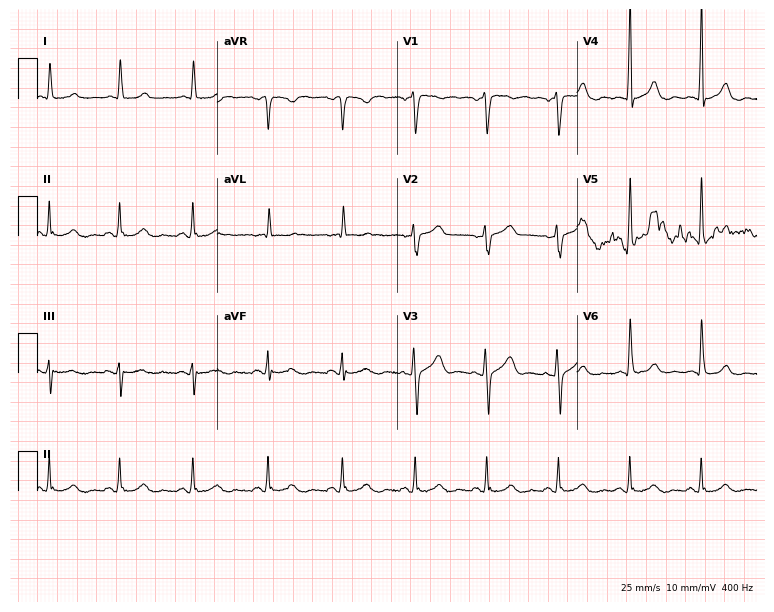
Standard 12-lead ECG recorded from a man, 53 years old. Read as a normal ECG.